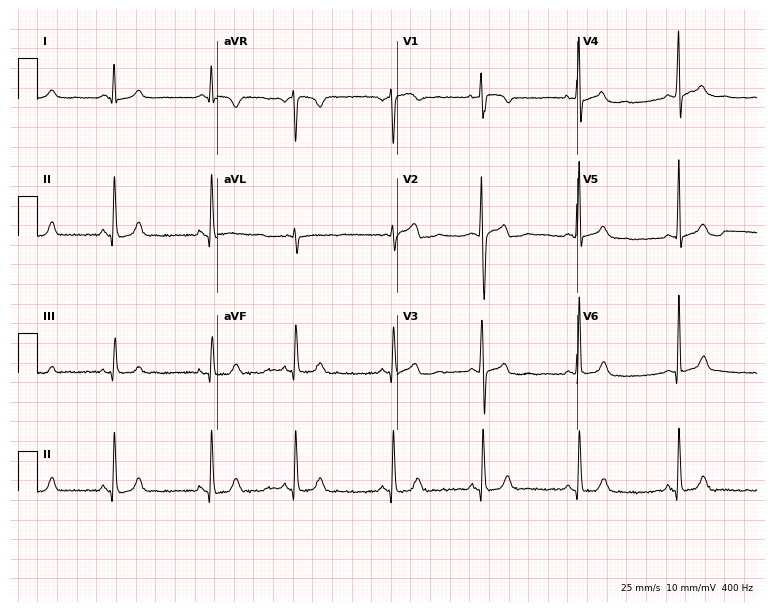
12-lead ECG from a woman, 19 years old (7.3-second recording at 400 Hz). Recorded interpretation: within normal limits.